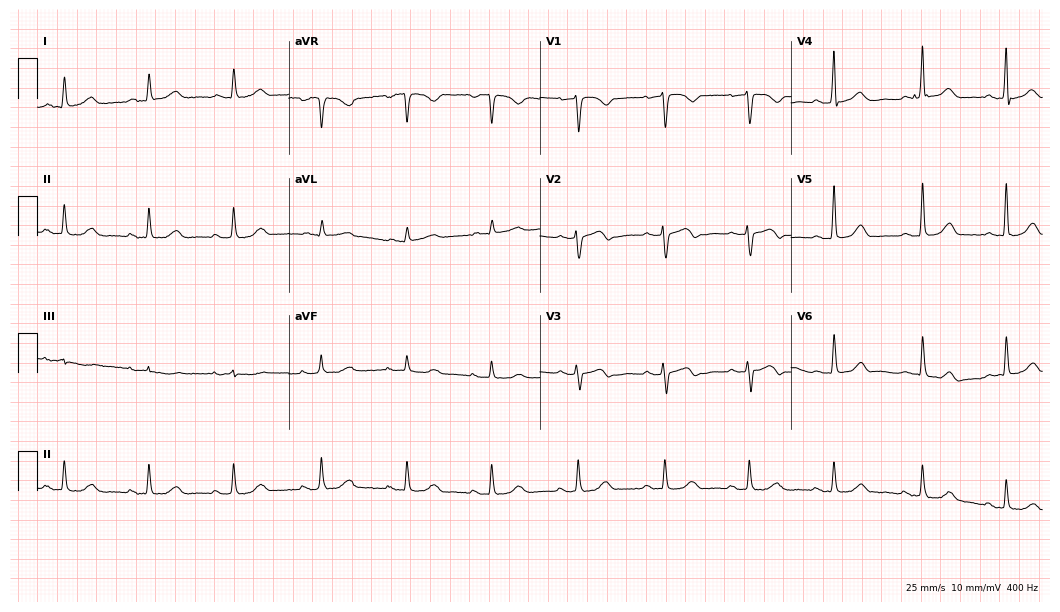
Electrocardiogram (10.2-second recording at 400 Hz), a female, 65 years old. Overall reading on record: normal ECG.